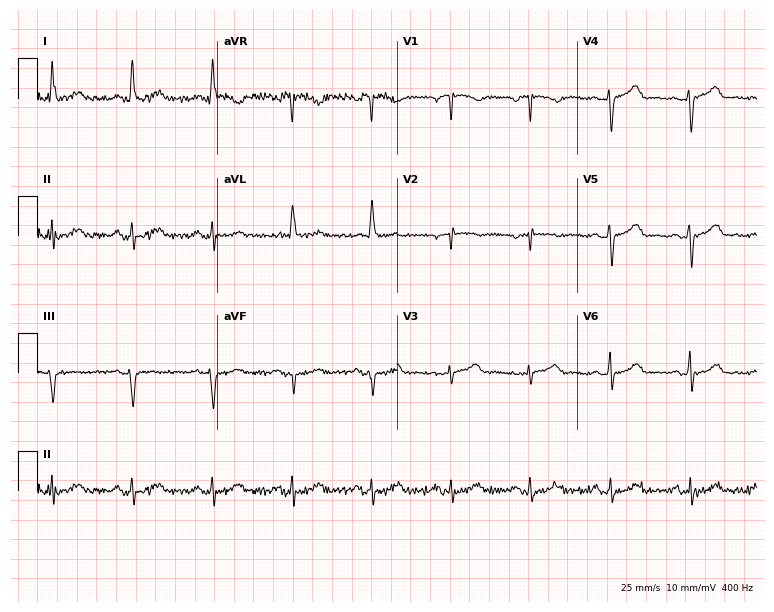
Resting 12-lead electrocardiogram. Patient: a woman, 69 years old. None of these six findings is recorded: first-degree AV block, right bundle branch block (RBBB), left bundle branch block (LBBB), sinus bradycardia, atrial fibrillation (AF), sinus tachycardia. Other findings, if any, are not listed.